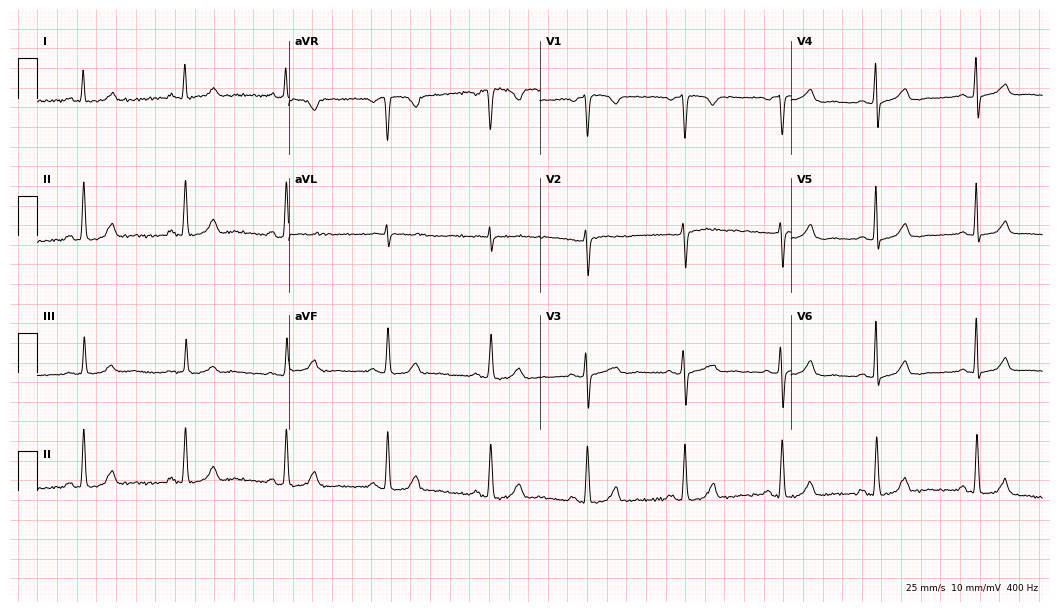
Standard 12-lead ECG recorded from a woman, 72 years old. Read as a normal ECG.